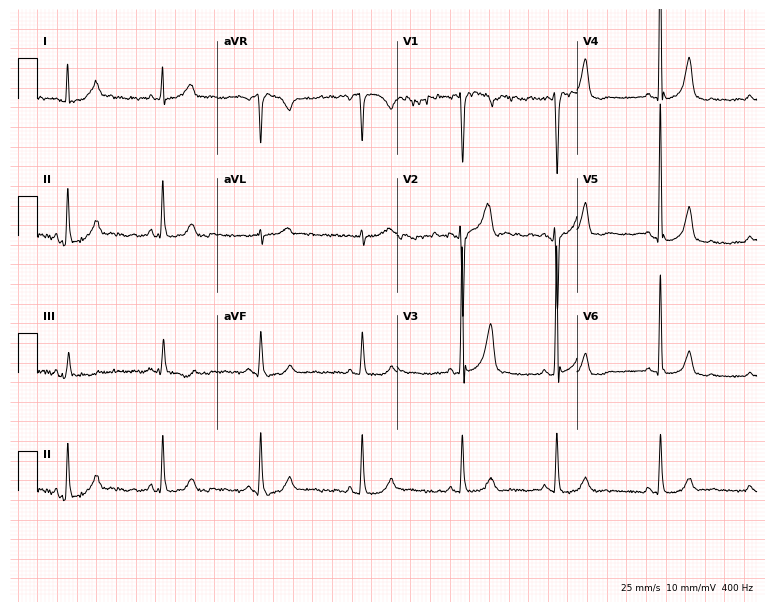
12-lead ECG (7.3-second recording at 400 Hz) from a male patient, 55 years old. Screened for six findings — first-degree AV block, right bundle branch block, left bundle branch block, sinus bradycardia, atrial fibrillation, sinus tachycardia — none is recorded. Findings outside these six are not listed.